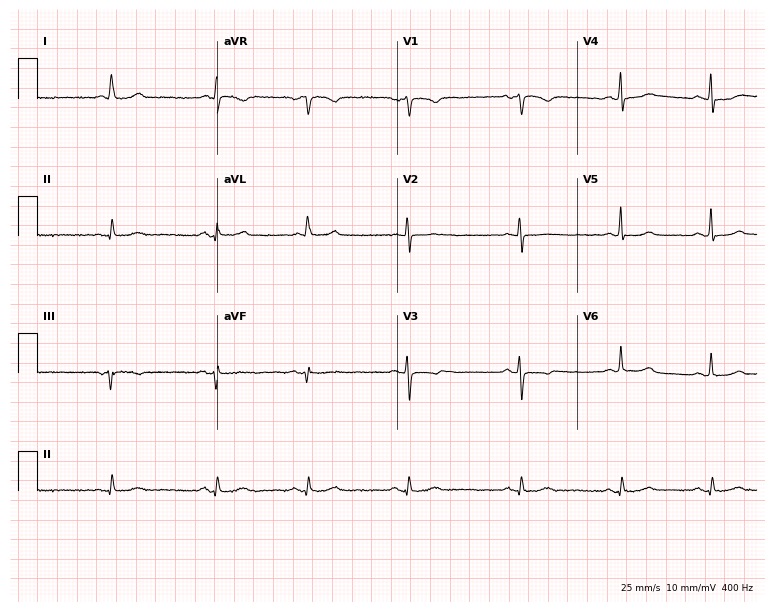
Electrocardiogram (7.3-second recording at 400 Hz), a 69-year-old female. Of the six screened findings (first-degree AV block, right bundle branch block (RBBB), left bundle branch block (LBBB), sinus bradycardia, atrial fibrillation (AF), sinus tachycardia), none is recorded.